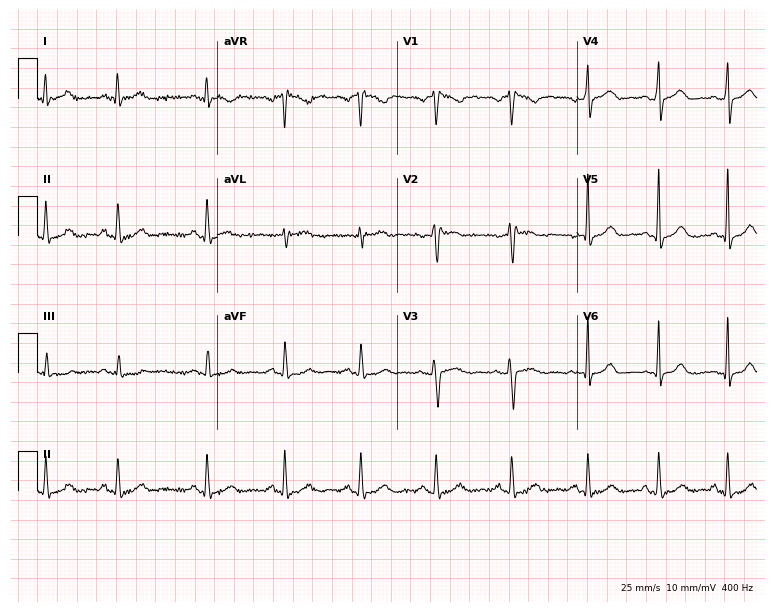
Electrocardiogram, a woman, 47 years old. Of the six screened findings (first-degree AV block, right bundle branch block (RBBB), left bundle branch block (LBBB), sinus bradycardia, atrial fibrillation (AF), sinus tachycardia), none is recorded.